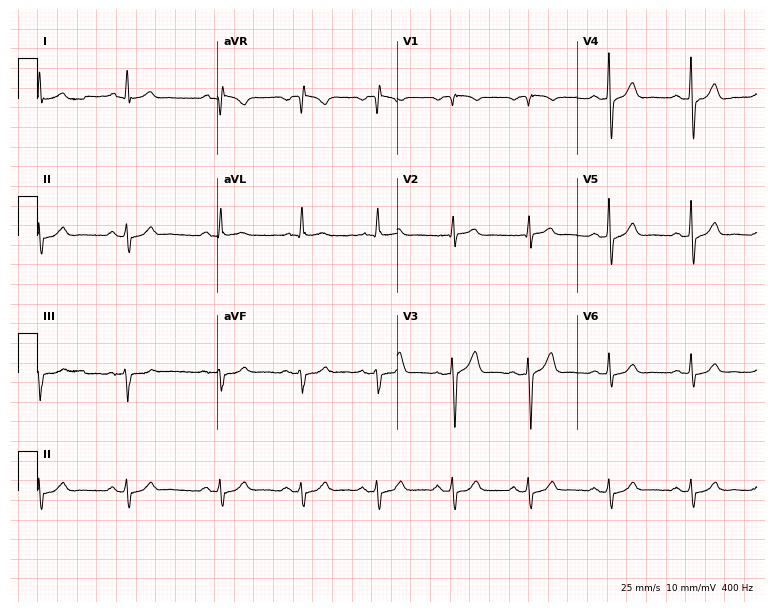
Standard 12-lead ECG recorded from a male, 72 years old. None of these six findings is recorded: first-degree AV block, right bundle branch block, left bundle branch block, sinus bradycardia, atrial fibrillation, sinus tachycardia.